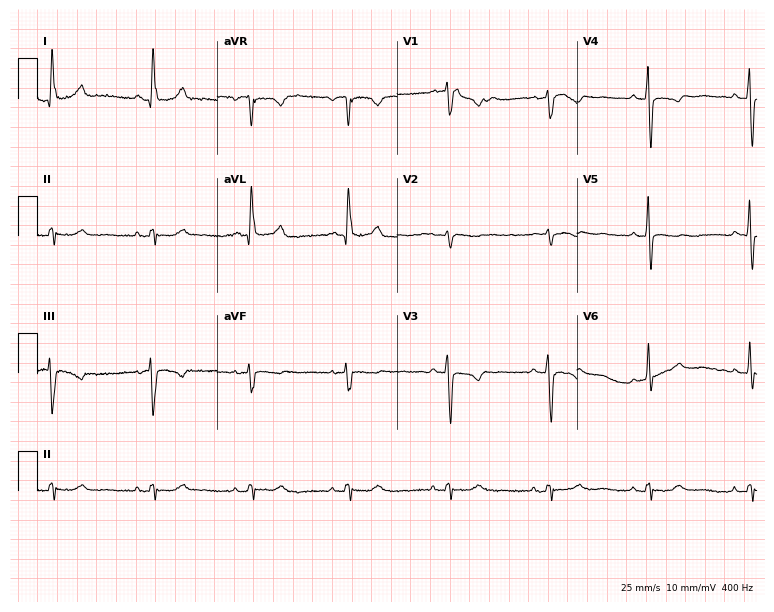
Electrocardiogram (7.3-second recording at 400 Hz), a female patient, 67 years old. Of the six screened findings (first-degree AV block, right bundle branch block (RBBB), left bundle branch block (LBBB), sinus bradycardia, atrial fibrillation (AF), sinus tachycardia), none is recorded.